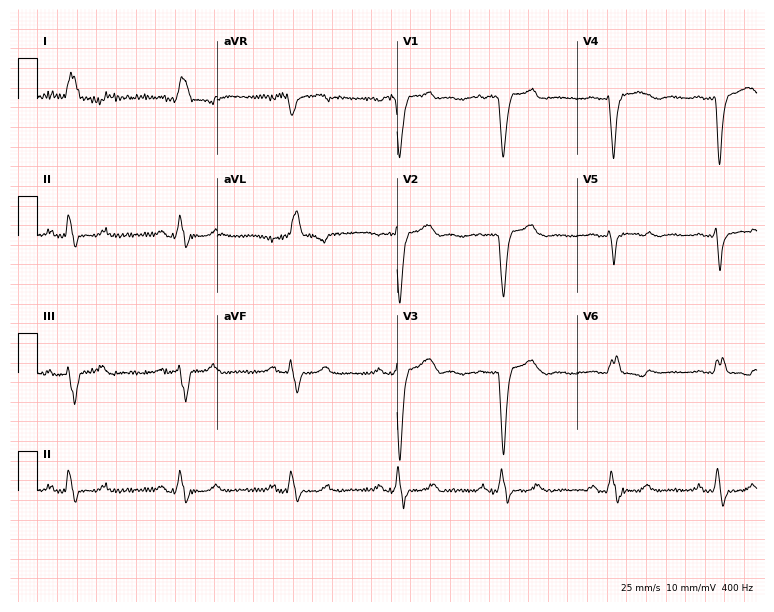
12-lead ECG from a female, 55 years old (7.3-second recording at 400 Hz). Shows left bundle branch block.